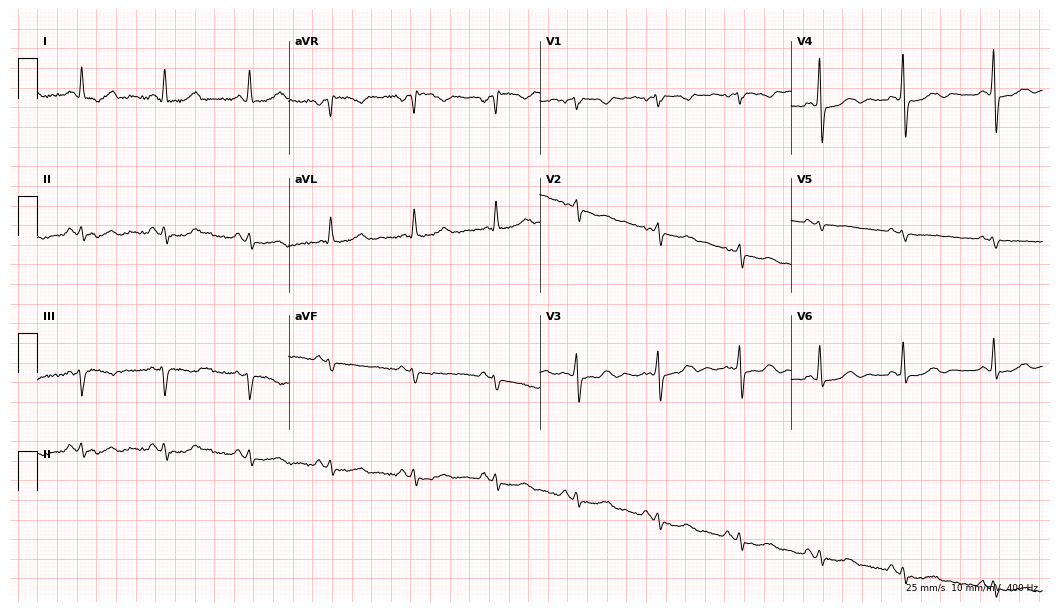
12-lead ECG from a female patient, 75 years old. Screened for six findings — first-degree AV block, right bundle branch block (RBBB), left bundle branch block (LBBB), sinus bradycardia, atrial fibrillation (AF), sinus tachycardia — none is recorded. Other findings, if any, are not listed.